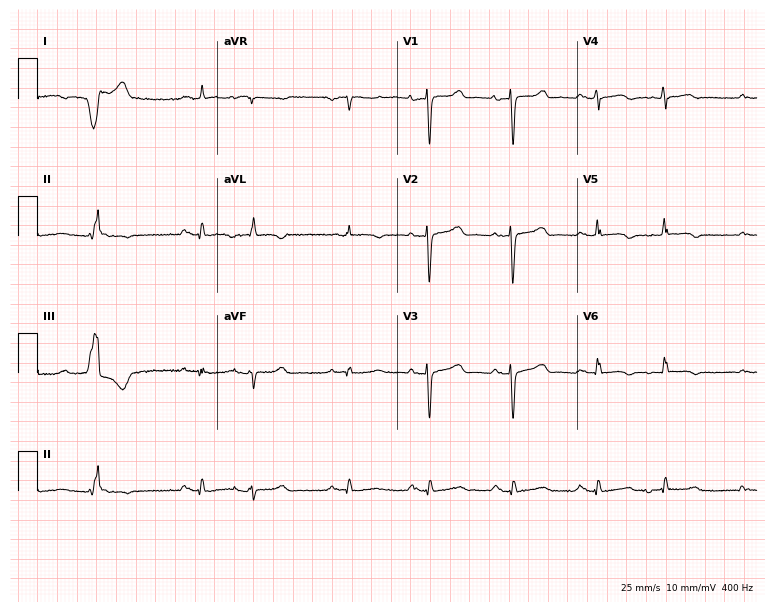
Standard 12-lead ECG recorded from a 60-year-old man. None of these six findings is recorded: first-degree AV block, right bundle branch block (RBBB), left bundle branch block (LBBB), sinus bradycardia, atrial fibrillation (AF), sinus tachycardia.